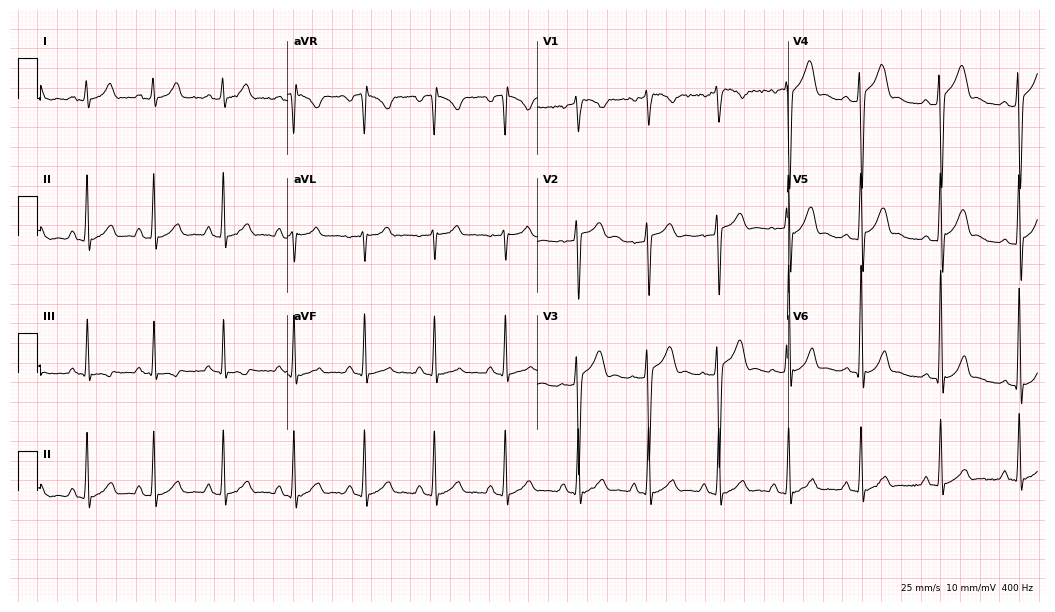
Resting 12-lead electrocardiogram (10.2-second recording at 400 Hz). Patient: a 20-year-old male. Read as a normal ECG.